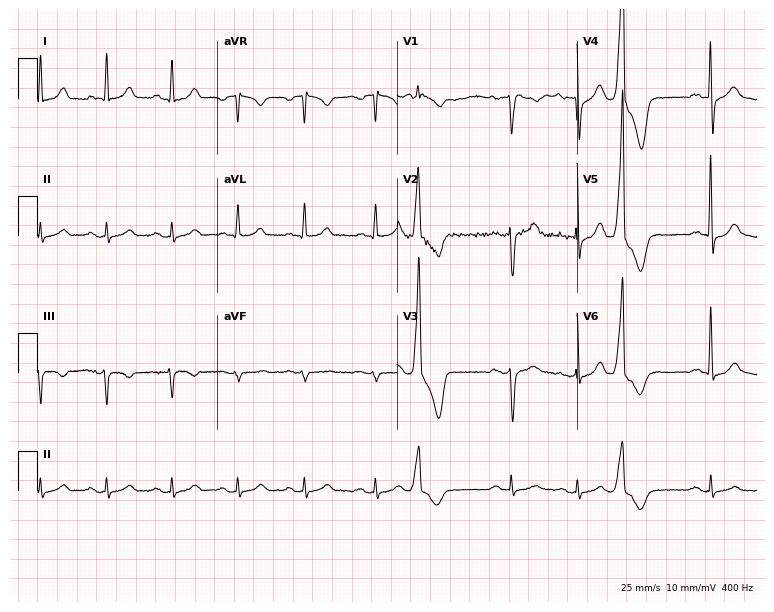
ECG — a male patient, 59 years old. Screened for six findings — first-degree AV block, right bundle branch block, left bundle branch block, sinus bradycardia, atrial fibrillation, sinus tachycardia — none is recorded. Findings outside these six are not listed.